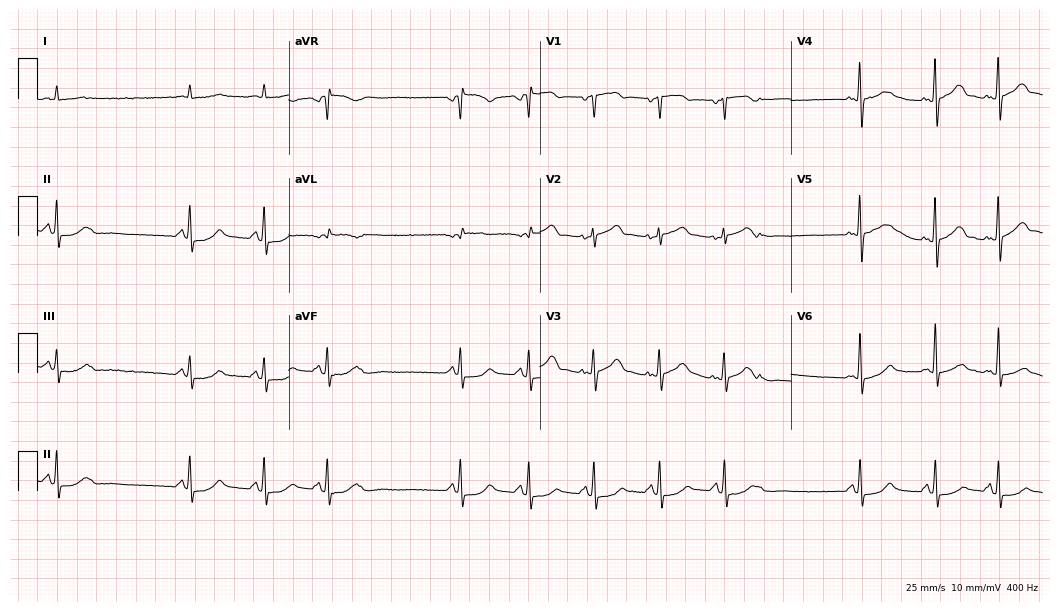
ECG (10.2-second recording at 400 Hz) — a man, 74 years old. Screened for six findings — first-degree AV block, right bundle branch block, left bundle branch block, sinus bradycardia, atrial fibrillation, sinus tachycardia — none is recorded. Only these six findings were labelled.